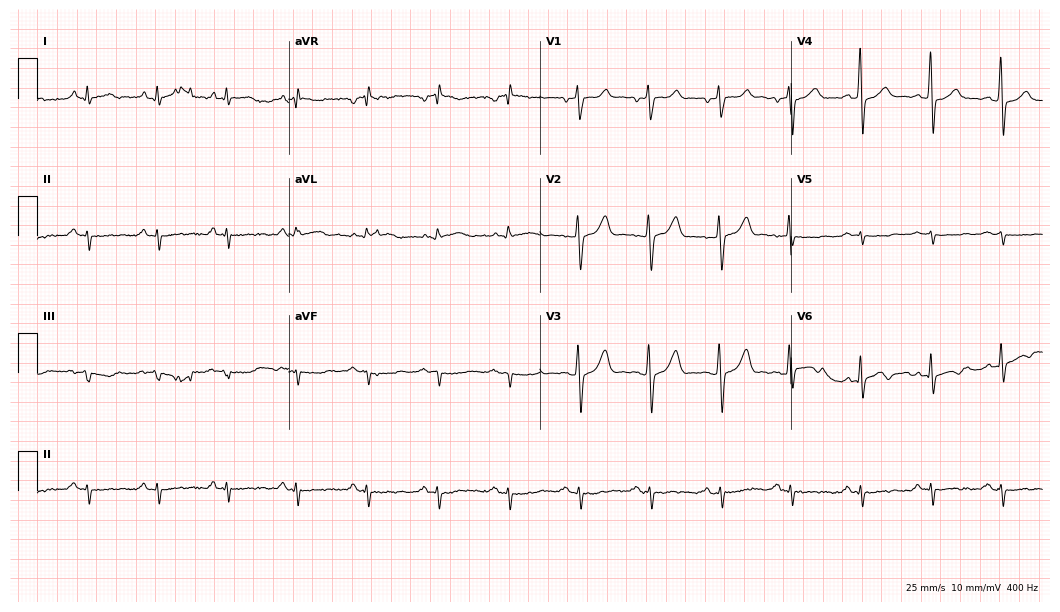
Standard 12-lead ECG recorded from a male patient, 58 years old (10.2-second recording at 400 Hz). None of these six findings is recorded: first-degree AV block, right bundle branch block (RBBB), left bundle branch block (LBBB), sinus bradycardia, atrial fibrillation (AF), sinus tachycardia.